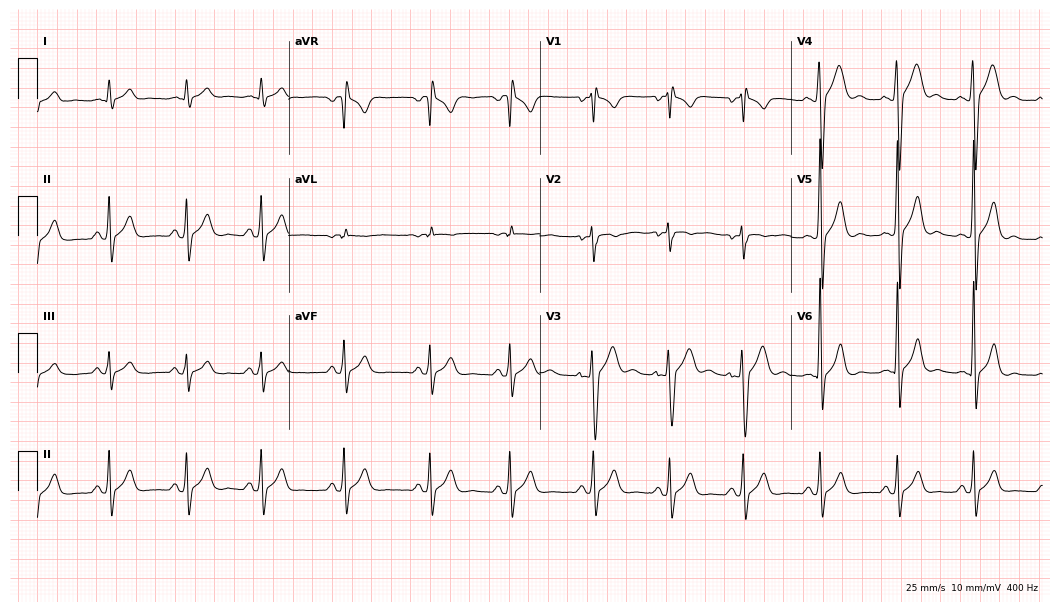
ECG — a male, 22 years old. Screened for six findings — first-degree AV block, right bundle branch block (RBBB), left bundle branch block (LBBB), sinus bradycardia, atrial fibrillation (AF), sinus tachycardia — none is recorded. Only these six findings were labelled.